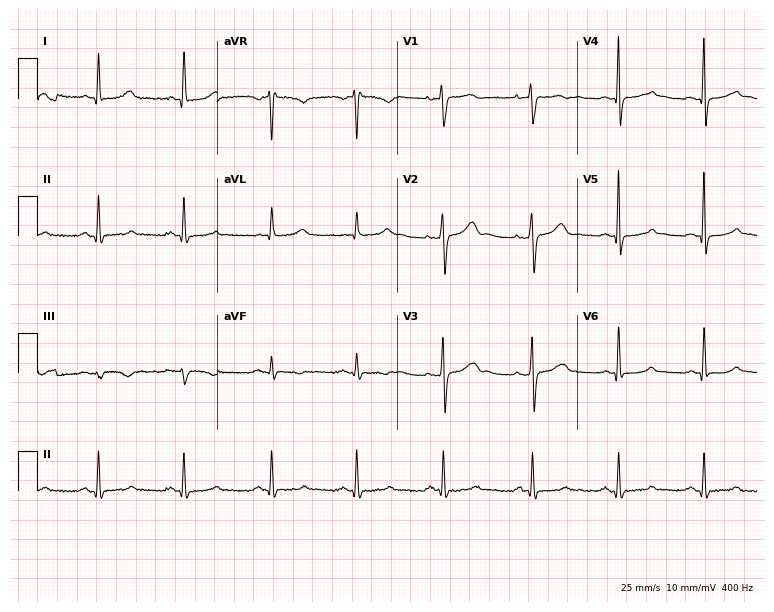
Resting 12-lead electrocardiogram. Patient: a female, 42 years old. Read as a normal ECG.